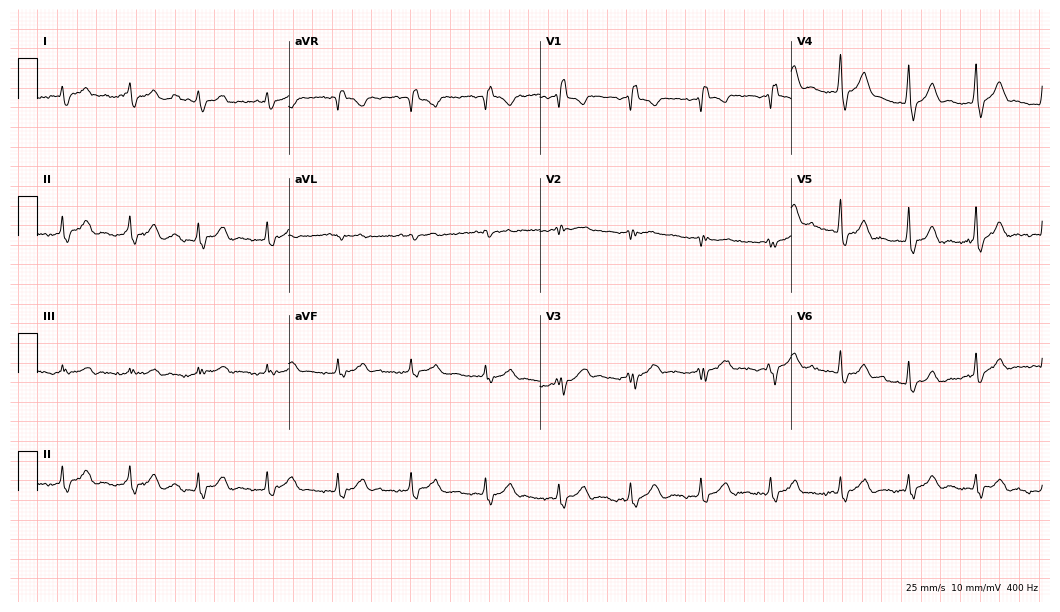
Resting 12-lead electrocardiogram (10.2-second recording at 400 Hz). Patient: a male, 50 years old. The tracing shows right bundle branch block.